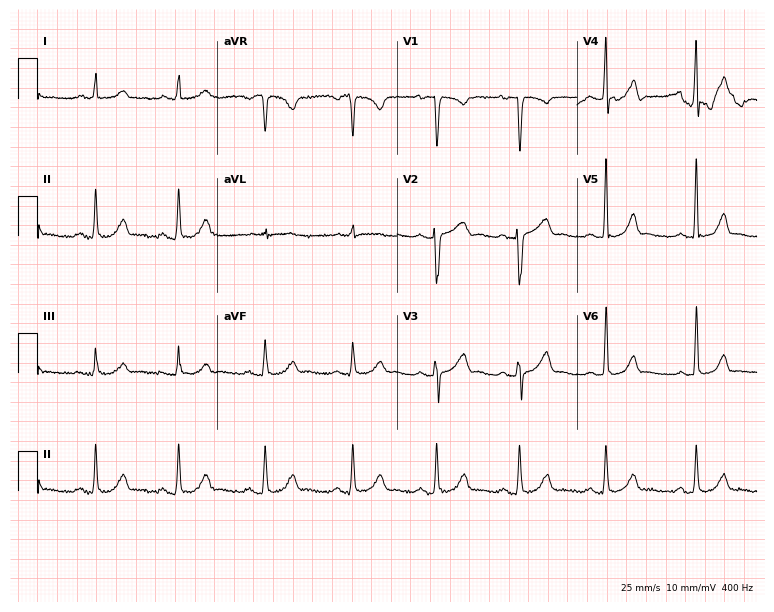
Standard 12-lead ECG recorded from a female patient, 33 years old (7.3-second recording at 400 Hz). None of these six findings is recorded: first-degree AV block, right bundle branch block (RBBB), left bundle branch block (LBBB), sinus bradycardia, atrial fibrillation (AF), sinus tachycardia.